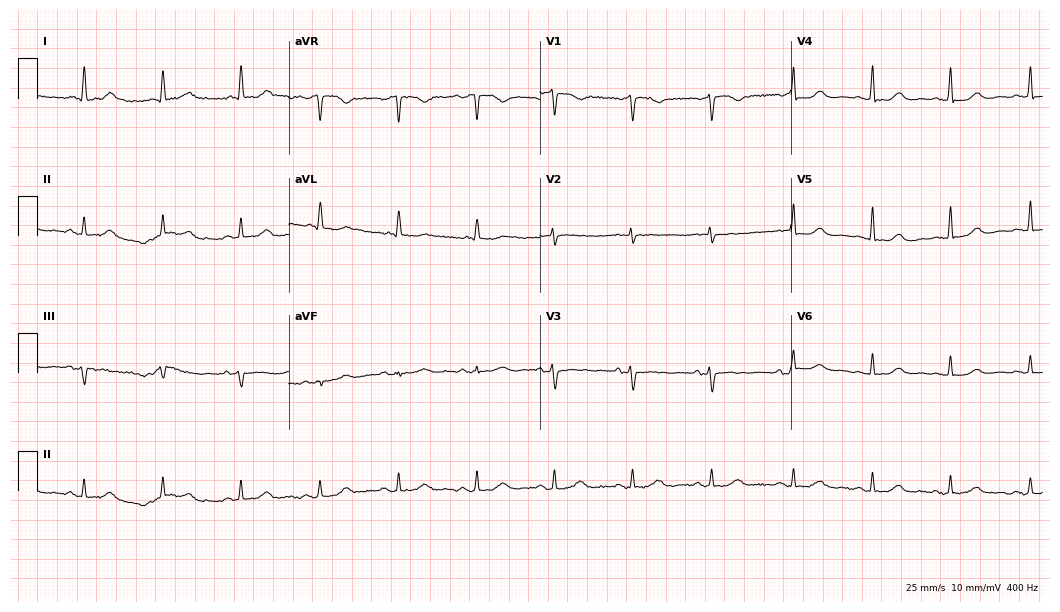
Electrocardiogram, a 72-year-old female patient. Overall reading on record: normal ECG.